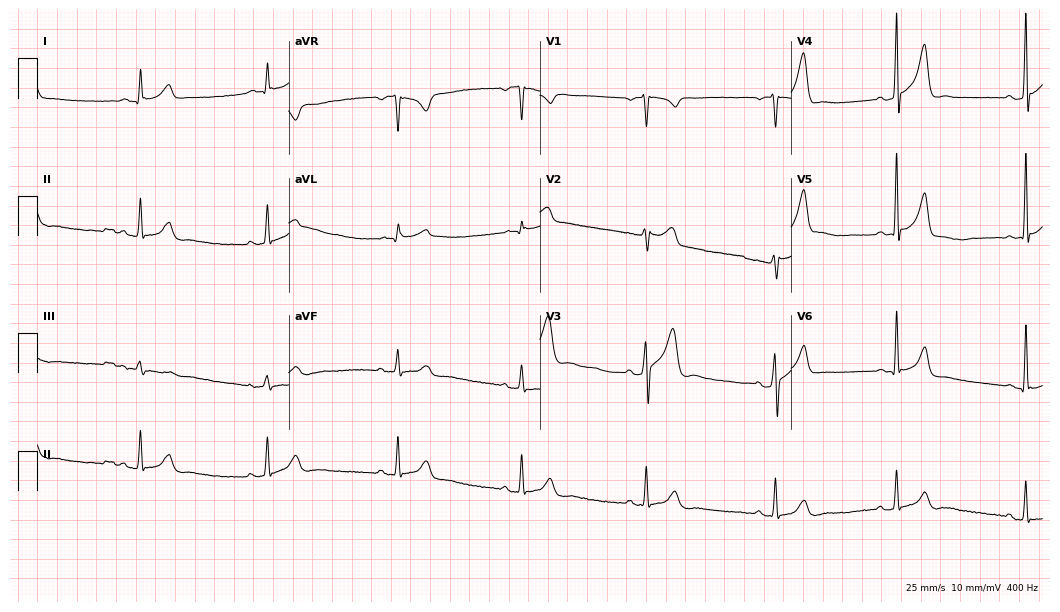
12-lead ECG from a 42-year-old male patient (10.2-second recording at 400 Hz). No first-degree AV block, right bundle branch block (RBBB), left bundle branch block (LBBB), sinus bradycardia, atrial fibrillation (AF) or sinus tachycardia recorded for this tracing. Other findings, if any, are not listed.